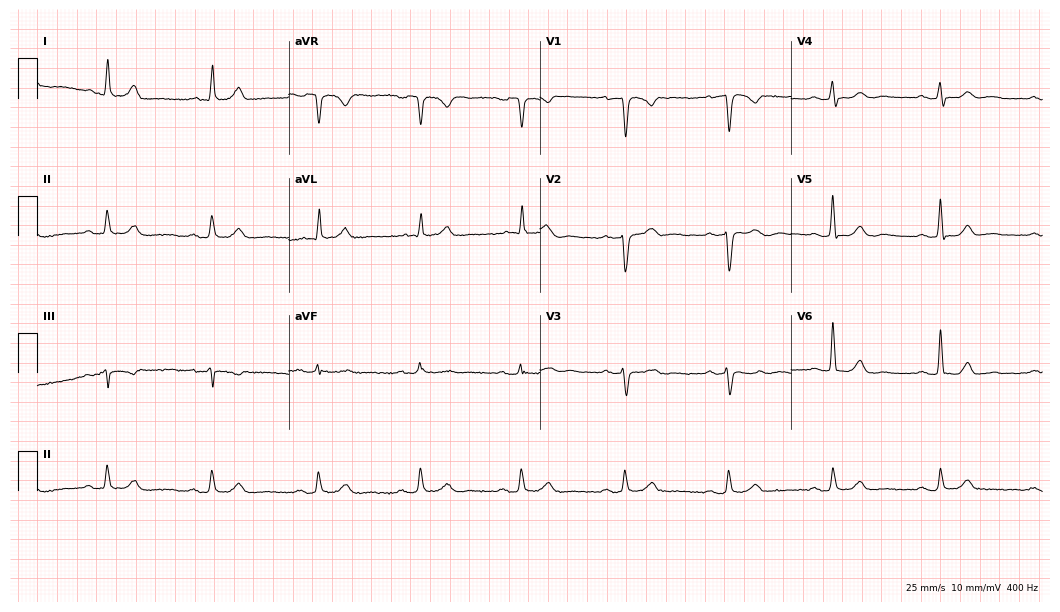
12-lead ECG from a 65-year-old male. Labelled as a normal ECG.